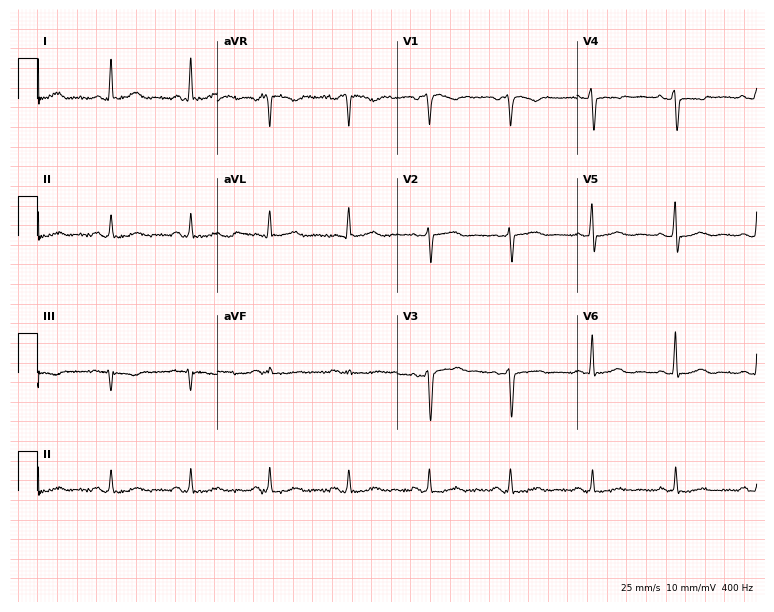
Standard 12-lead ECG recorded from a female, 56 years old. None of these six findings is recorded: first-degree AV block, right bundle branch block (RBBB), left bundle branch block (LBBB), sinus bradycardia, atrial fibrillation (AF), sinus tachycardia.